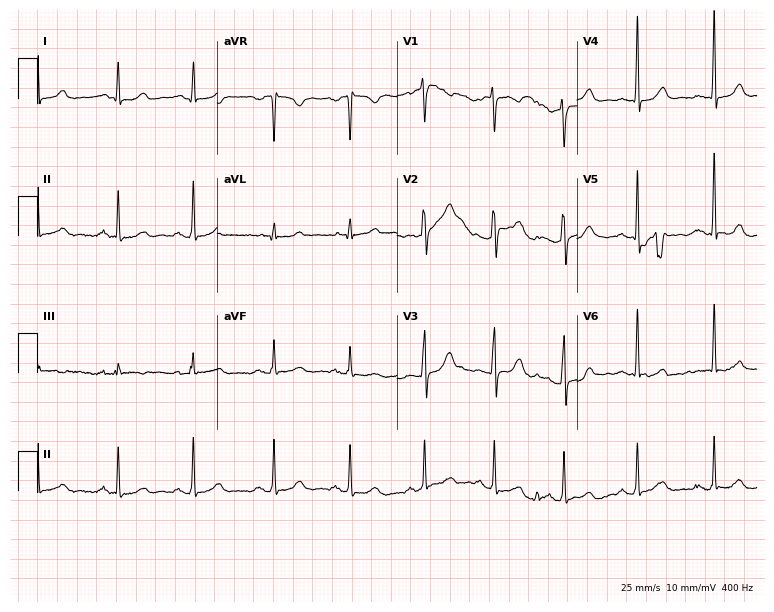
Electrocardiogram, a 35-year-old female. Overall reading on record: normal ECG.